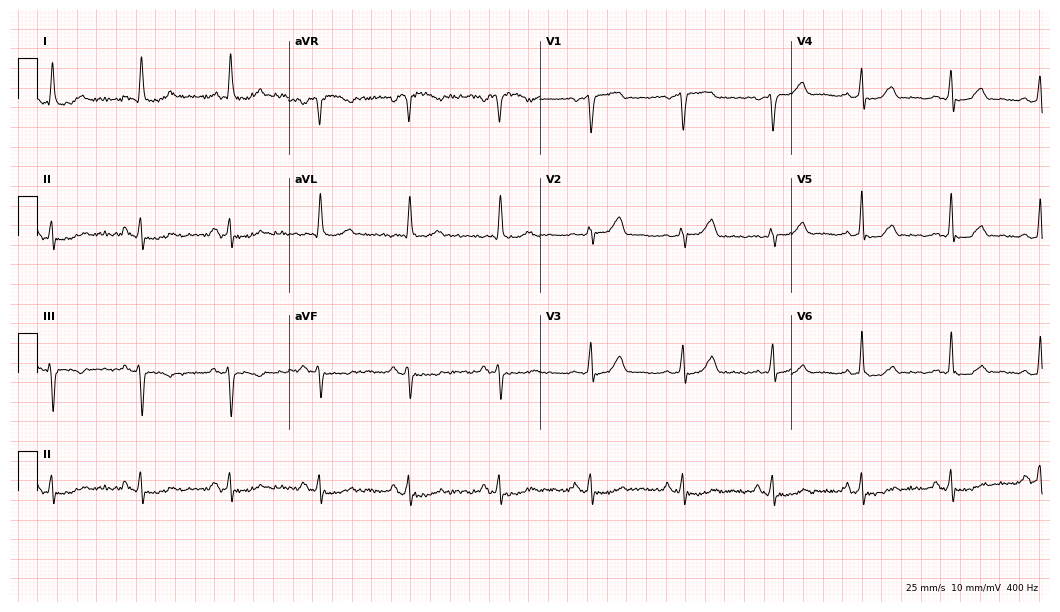
ECG (10.2-second recording at 400 Hz) — a female, 70 years old. Screened for six findings — first-degree AV block, right bundle branch block, left bundle branch block, sinus bradycardia, atrial fibrillation, sinus tachycardia — none is recorded.